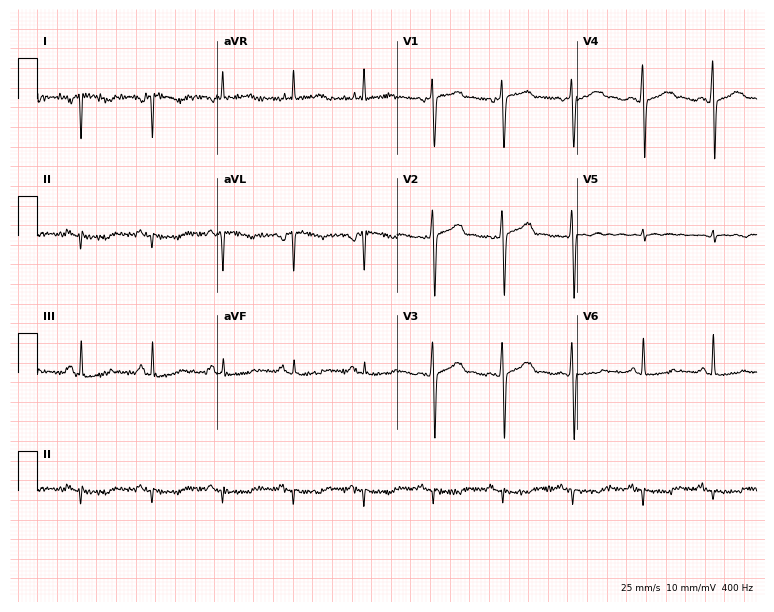
Electrocardiogram (7.3-second recording at 400 Hz), a woman, 57 years old. Of the six screened findings (first-degree AV block, right bundle branch block, left bundle branch block, sinus bradycardia, atrial fibrillation, sinus tachycardia), none is recorded.